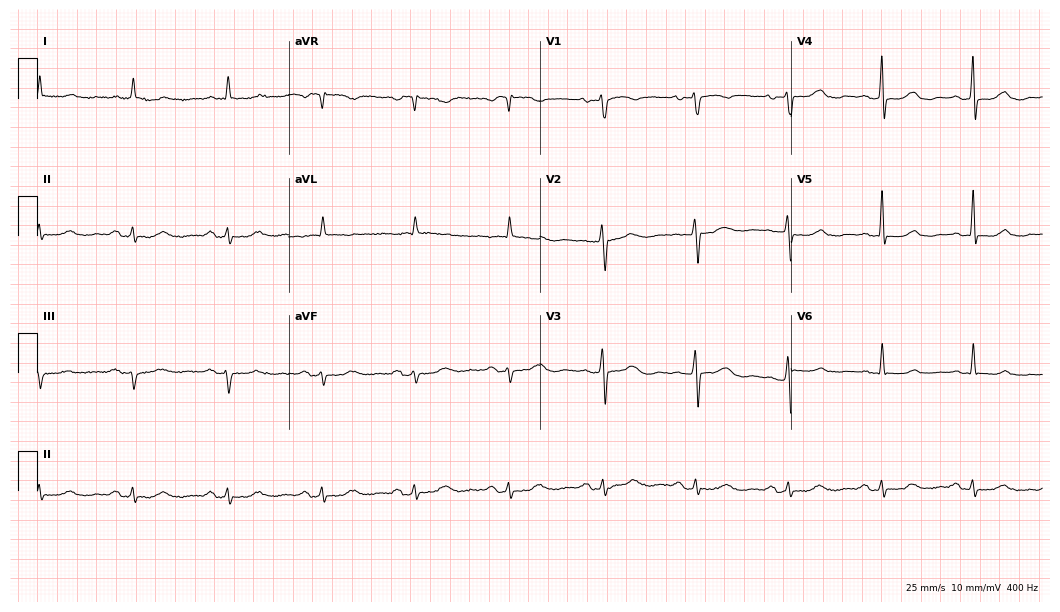
12-lead ECG from an 82-year-old woman. Screened for six findings — first-degree AV block, right bundle branch block, left bundle branch block, sinus bradycardia, atrial fibrillation, sinus tachycardia — none is recorded.